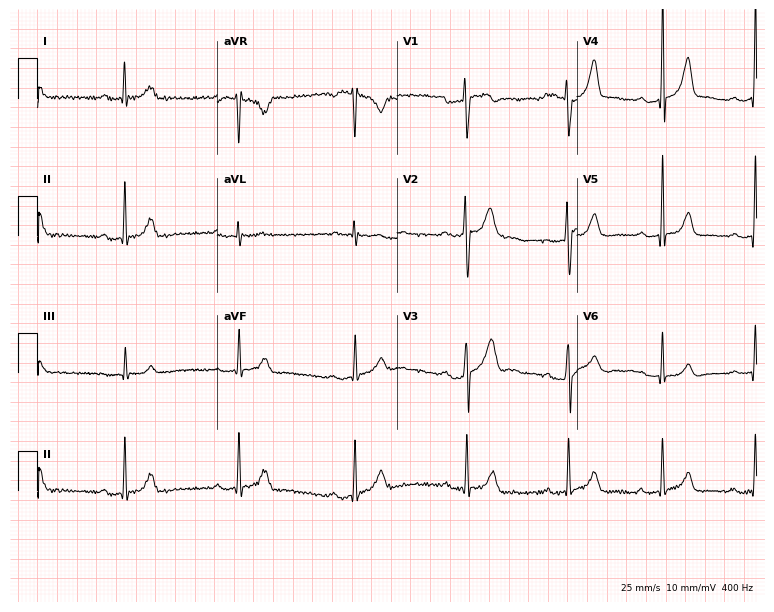
Standard 12-lead ECG recorded from a 29-year-old man (7.3-second recording at 400 Hz). None of these six findings is recorded: first-degree AV block, right bundle branch block, left bundle branch block, sinus bradycardia, atrial fibrillation, sinus tachycardia.